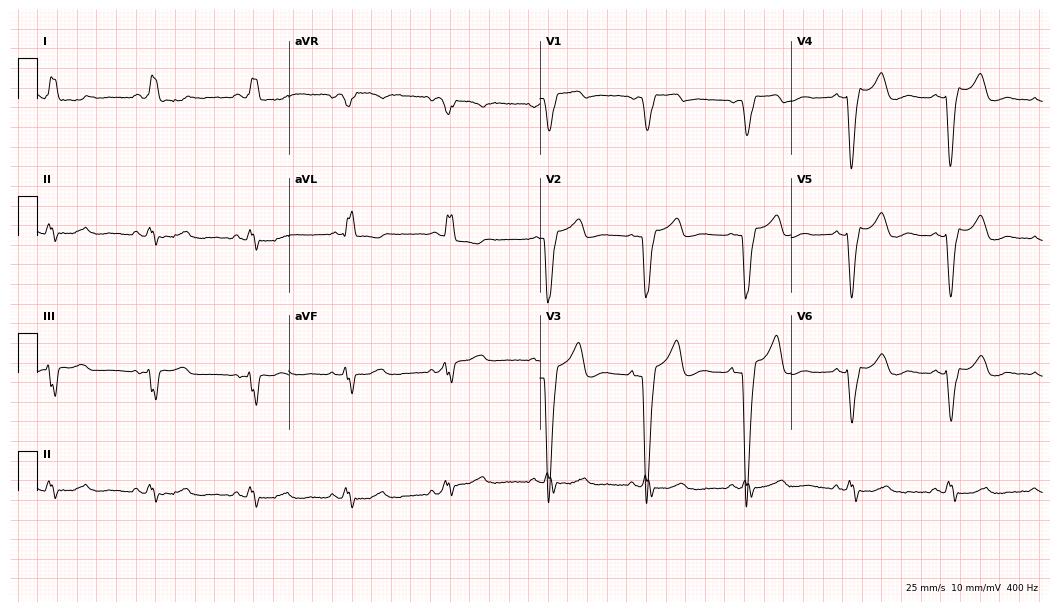
ECG (10.2-second recording at 400 Hz) — a 49-year-old female patient. Findings include left bundle branch block.